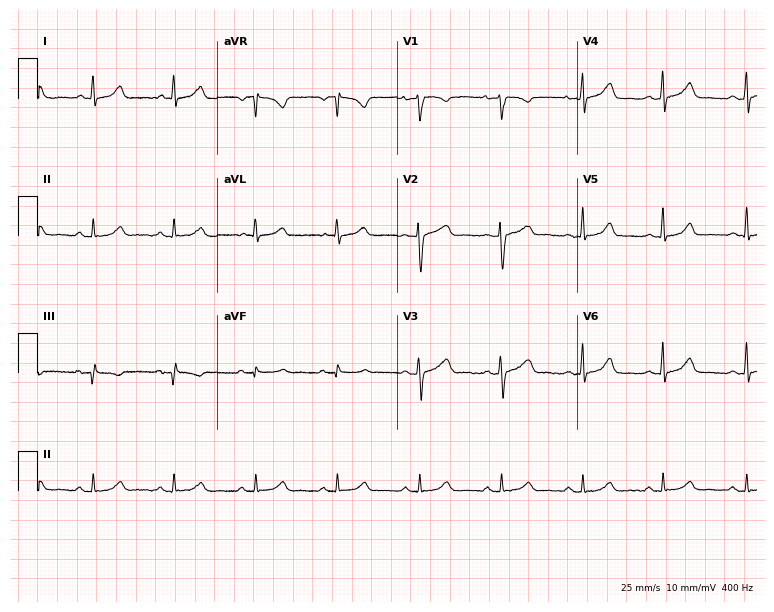
Electrocardiogram, a female patient, 30 years old. Overall reading on record: normal ECG.